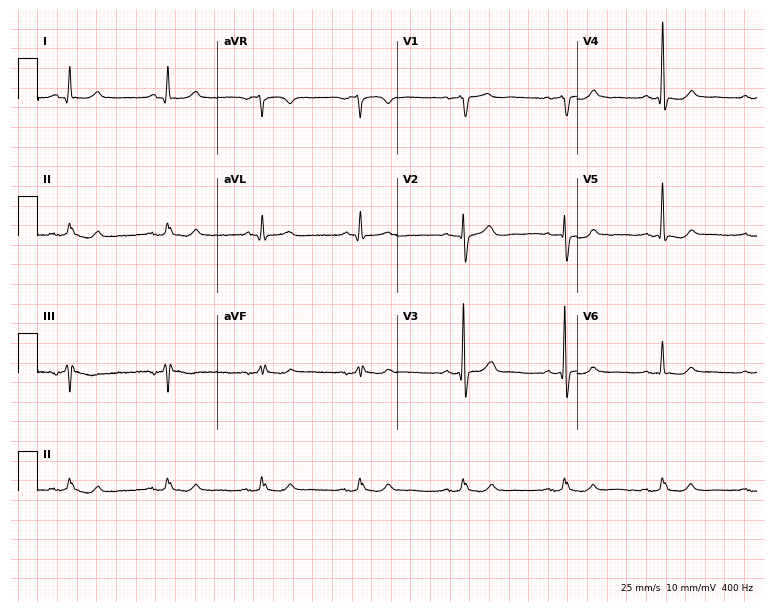
12-lead ECG from a male, 59 years old (7.3-second recording at 400 Hz). Recorded interpretation: within normal limits.